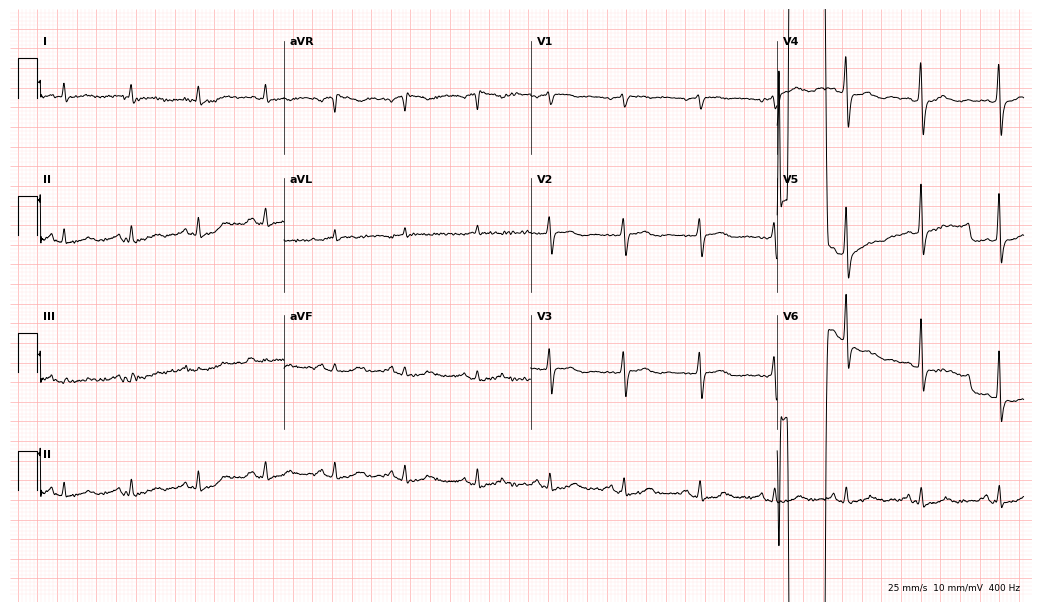
ECG — a female patient, 66 years old. Screened for six findings — first-degree AV block, right bundle branch block, left bundle branch block, sinus bradycardia, atrial fibrillation, sinus tachycardia — none is recorded.